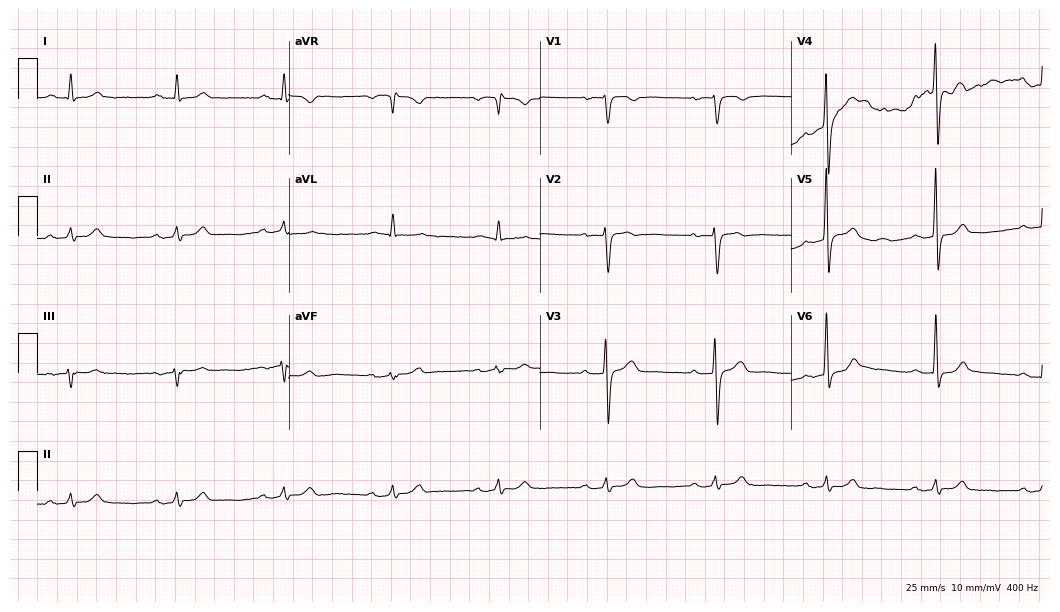
12-lead ECG from a man, 61 years old (10.2-second recording at 400 Hz). Shows first-degree AV block.